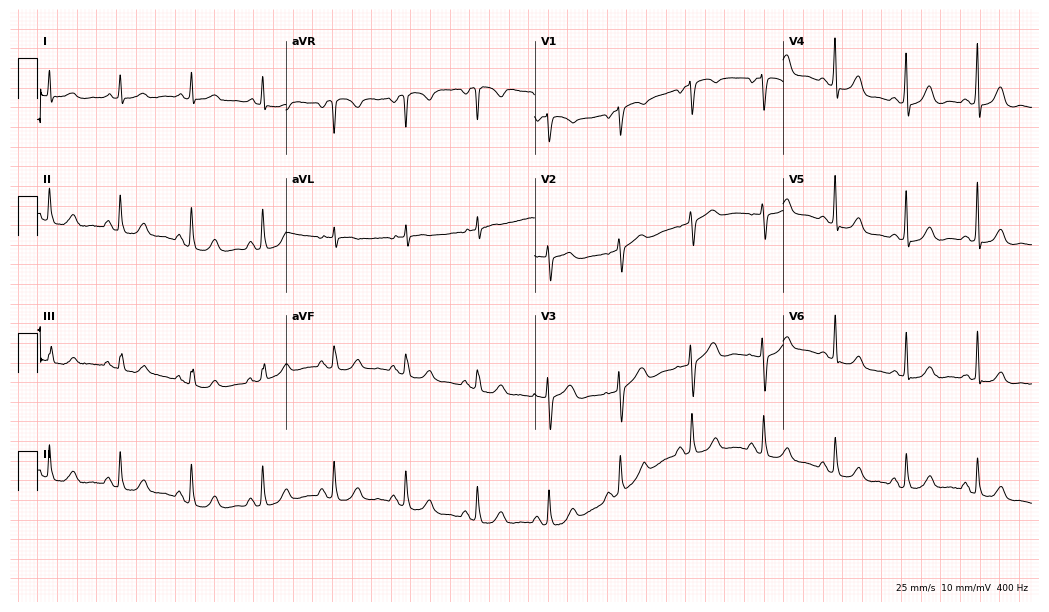
12-lead ECG from a woman, 81 years old. Labelled as a normal ECG.